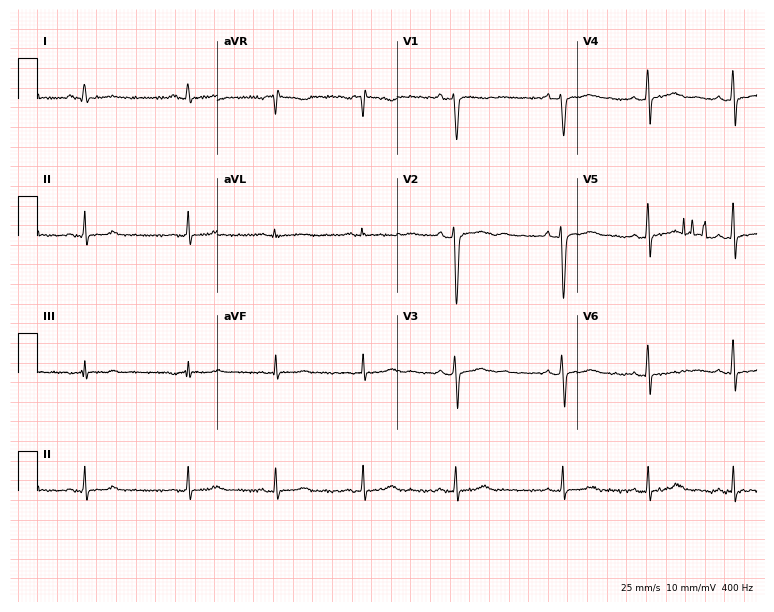
Electrocardiogram (7.3-second recording at 400 Hz), a female, 30 years old. Overall reading on record: normal ECG.